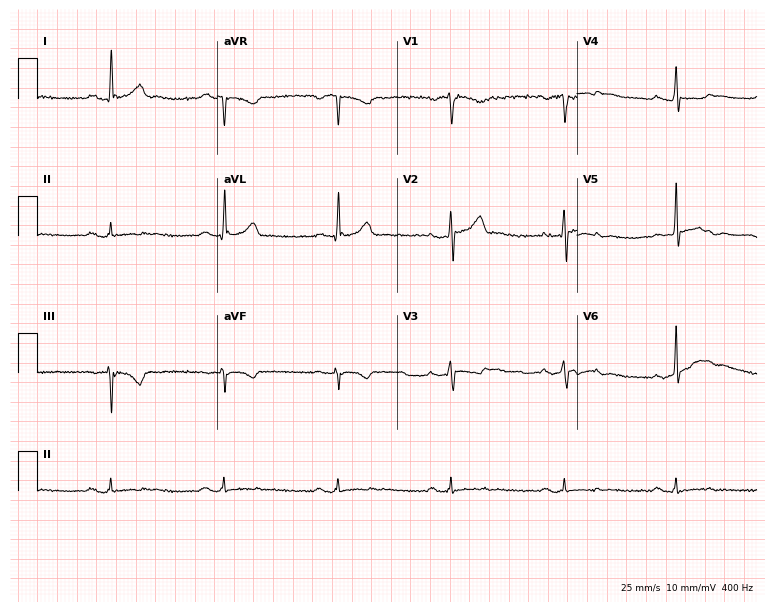
12-lead ECG from a 53-year-old male patient. No first-degree AV block, right bundle branch block (RBBB), left bundle branch block (LBBB), sinus bradycardia, atrial fibrillation (AF) or sinus tachycardia recorded for this tracing.